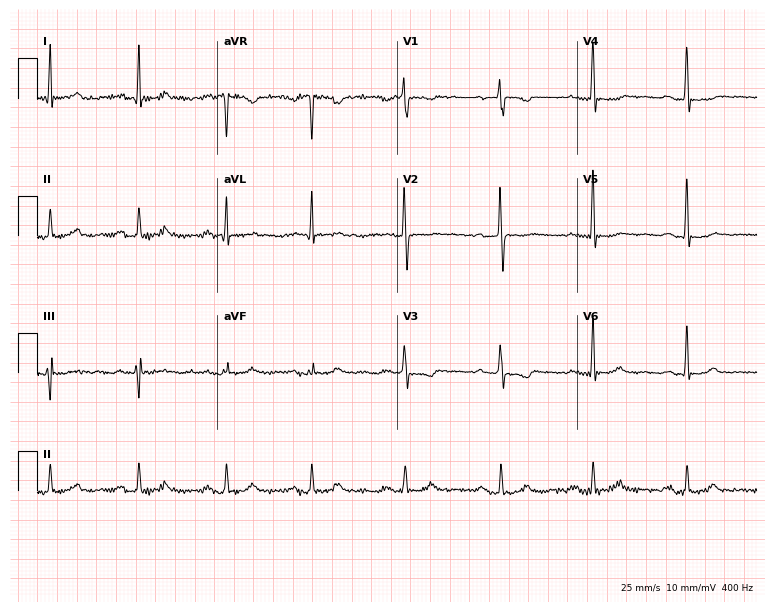
12-lead ECG from a female, 59 years old. No first-degree AV block, right bundle branch block (RBBB), left bundle branch block (LBBB), sinus bradycardia, atrial fibrillation (AF) or sinus tachycardia recorded for this tracing. Only these six findings were labelled.